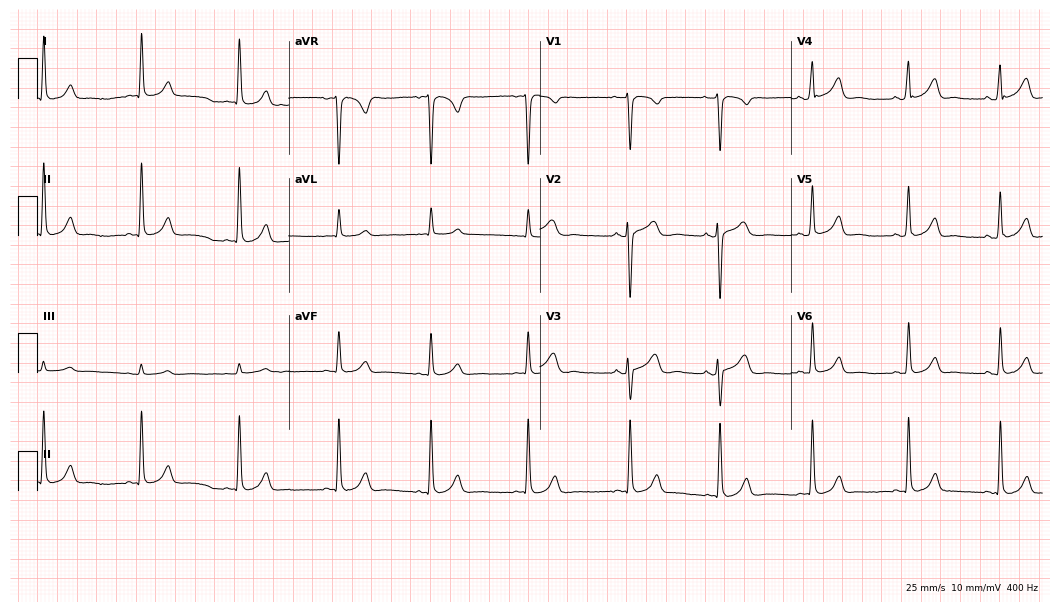
12-lead ECG from a 17-year-old female patient (10.2-second recording at 400 Hz). Recorded interpretation: within normal limits.